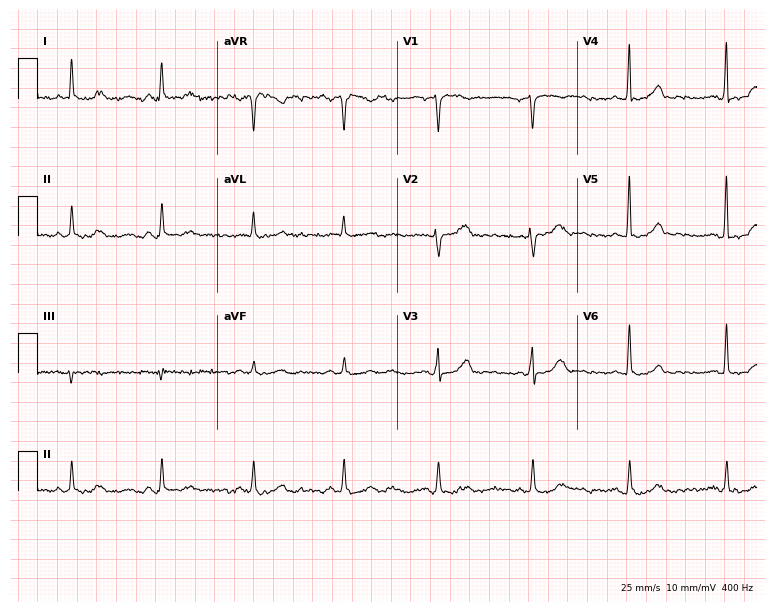
12-lead ECG (7.3-second recording at 400 Hz) from a female patient, 51 years old. Labelled as a normal ECG.